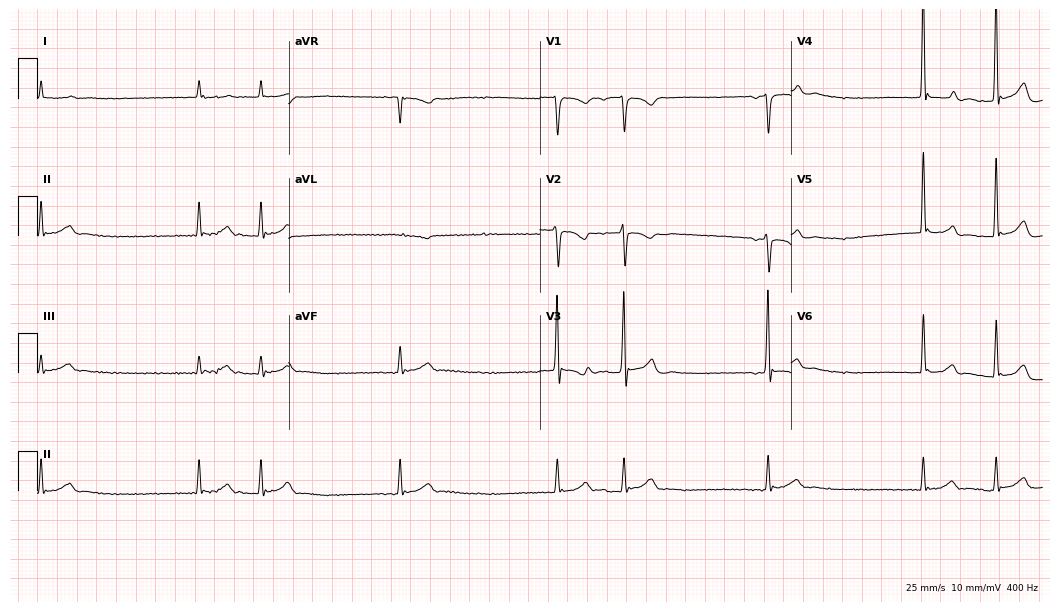
Standard 12-lead ECG recorded from a male patient, 55 years old. None of these six findings is recorded: first-degree AV block, right bundle branch block (RBBB), left bundle branch block (LBBB), sinus bradycardia, atrial fibrillation (AF), sinus tachycardia.